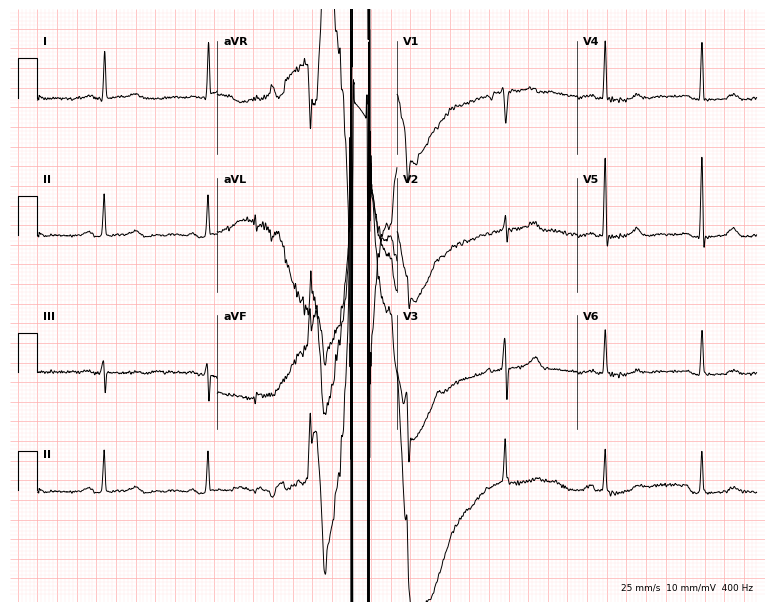
Standard 12-lead ECG recorded from a 59-year-old woman. None of these six findings is recorded: first-degree AV block, right bundle branch block, left bundle branch block, sinus bradycardia, atrial fibrillation, sinus tachycardia. Findings outside these six are not listed.